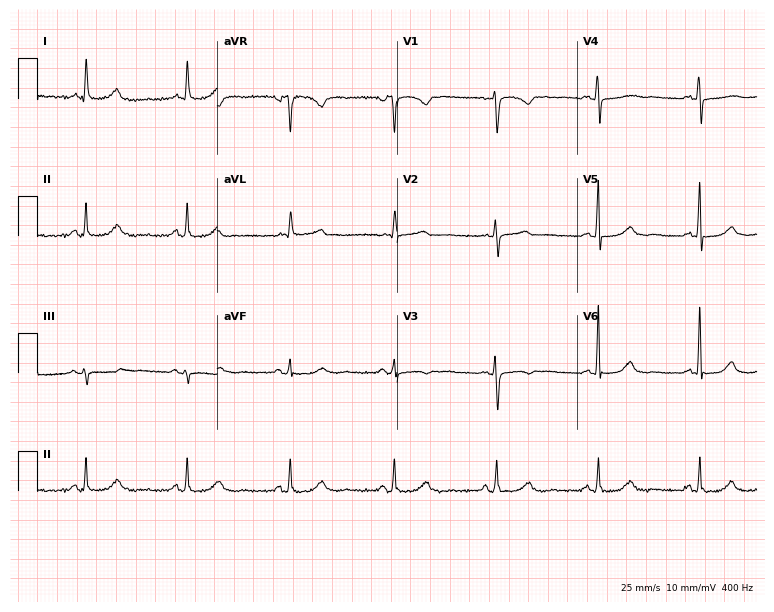
ECG (7.3-second recording at 400 Hz) — a female, 63 years old. Findings include sinus bradycardia (a sinus rate of 50 beats per minute or less).